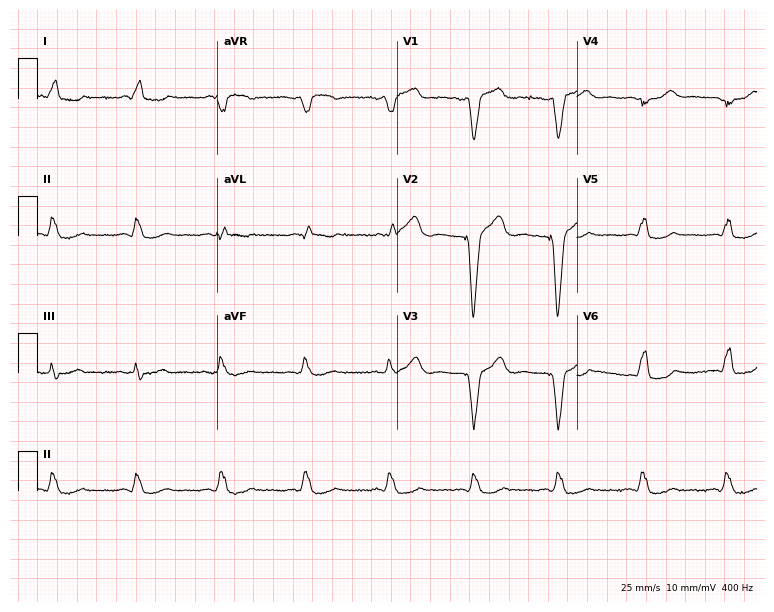
Standard 12-lead ECG recorded from a 62-year-old female (7.3-second recording at 400 Hz). None of these six findings is recorded: first-degree AV block, right bundle branch block (RBBB), left bundle branch block (LBBB), sinus bradycardia, atrial fibrillation (AF), sinus tachycardia.